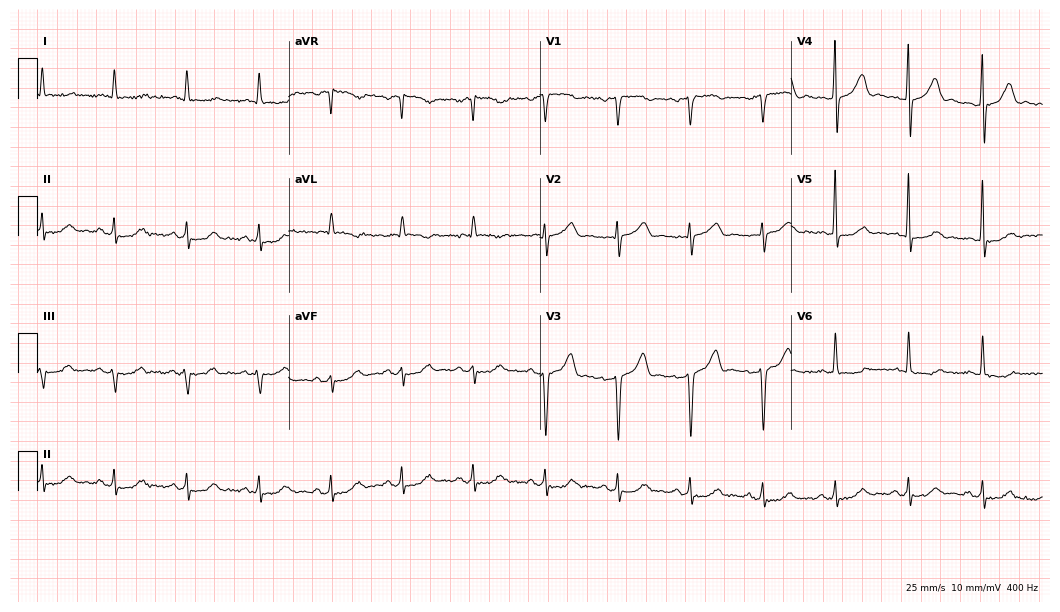
Standard 12-lead ECG recorded from a male, 60 years old. None of these six findings is recorded: first-degree AV block, right bundle branch block (RBBB), left bundle branch block (LBBB), sinus bradycardia, atrial fibrillation (AF), sinus tachycardia.